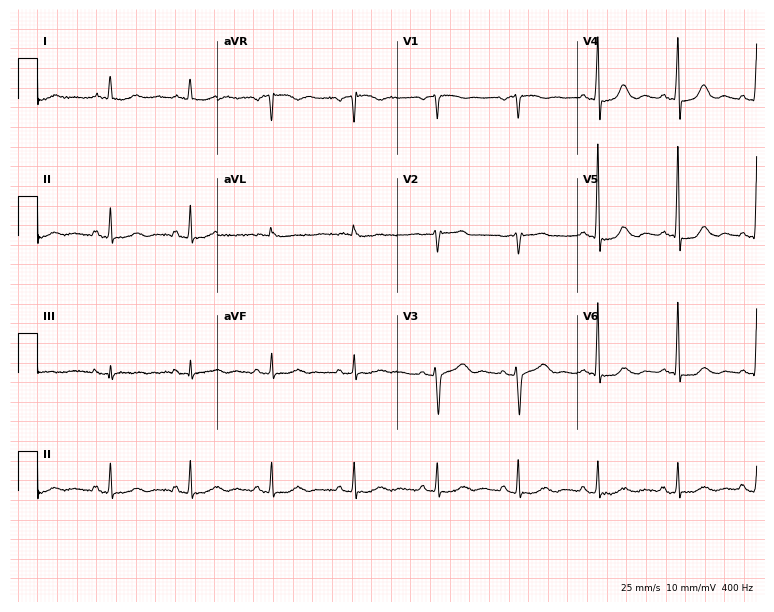
12-lead ECG from a woman, 68 years old (7.3-second recording at 400 Hz). Recorded interpretation: within normal limits.